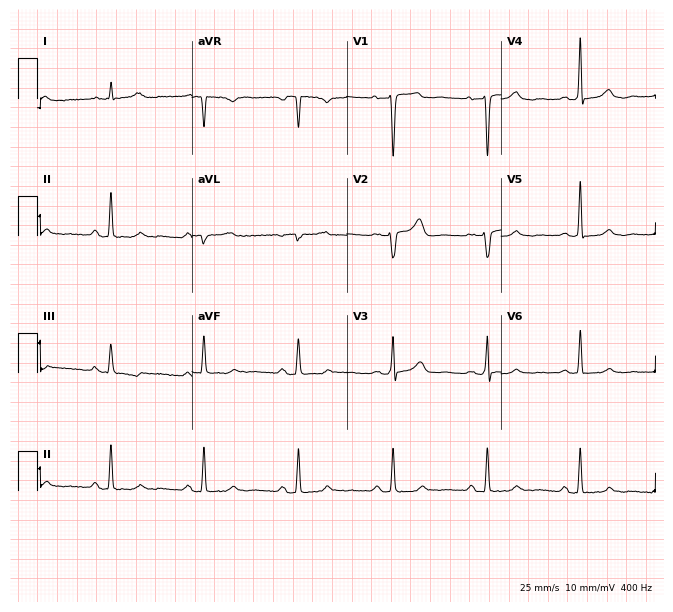
12-lead ECG from a 69-year-old female (6.3-second recording at 400 Hz). No first-degree AV block, right bundle branch block, left bundle branch block, sinus bradycardia, atrial fibrillation or sinus tachycardia recorded for this tracing. Other findings, if any, are not listed.